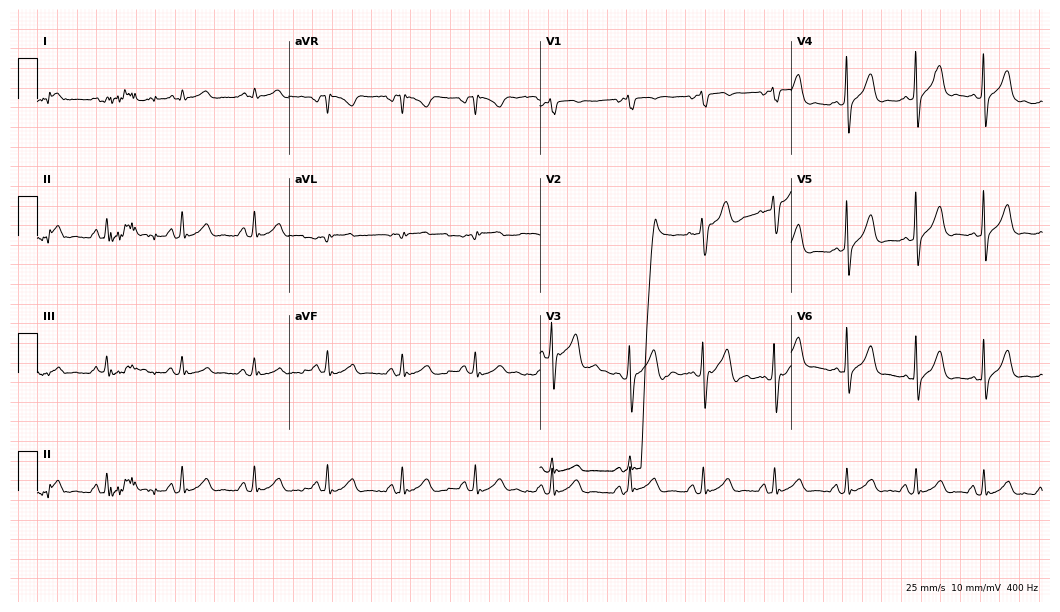
ECG — a 36-year-old male patient. Screened for six findings — first-degree AV block, right bundle branch block, left bundle branch block, sinus bradycardia, atrial fibrillation, sinus tachycardia — none is recorded. Findings outside these six are not listed.